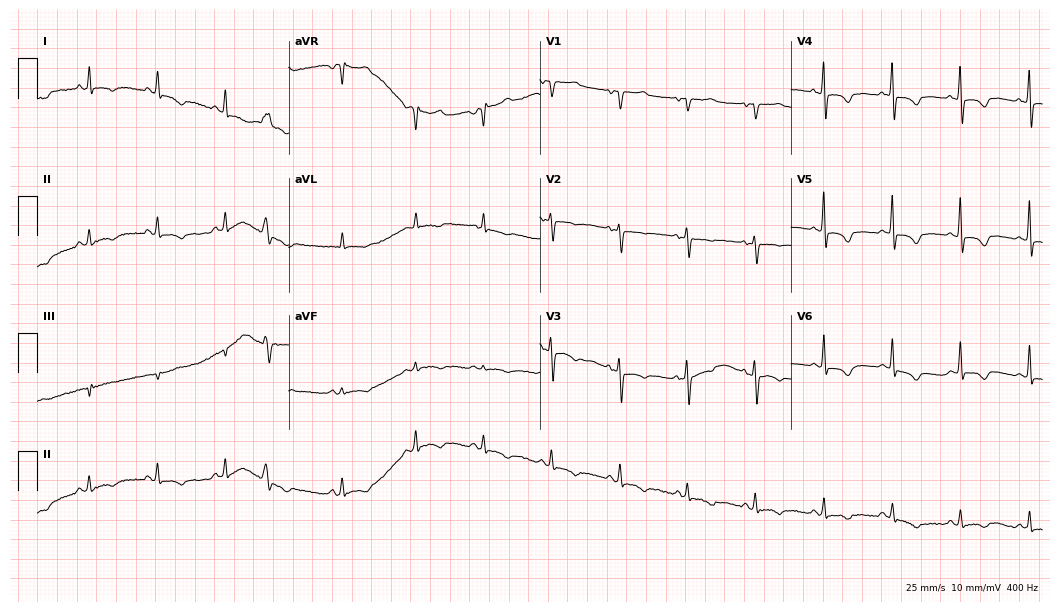
12-lead ECG from a female patient, 76 years old (10.2-second recording at 400 Hz). No first-degree AV block, right bundle branch block (RBBB), left bundle branch block (LBBB), sinus bradycardia, atrial fibrillation (AF) or sinus tachycardia recorded for this tracing. Other findings, if any, are not listed.